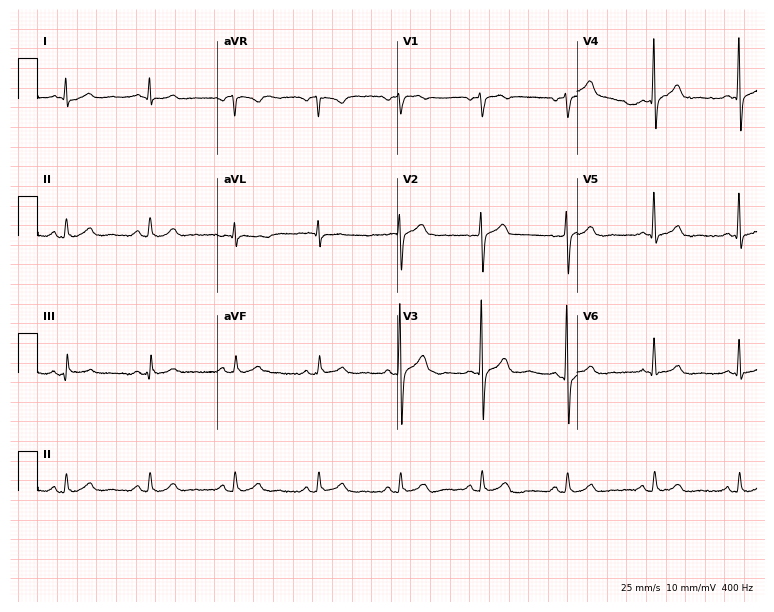
12-lead ECG (7.3-second recording at 400 Hz) from a man, 53 years old. Screened for six findings — first-degree AV block, right bundle branch block, left bundle branch block, sinus bradycardia, atrial fibrillation, sinus tachycardia — none is recorded.